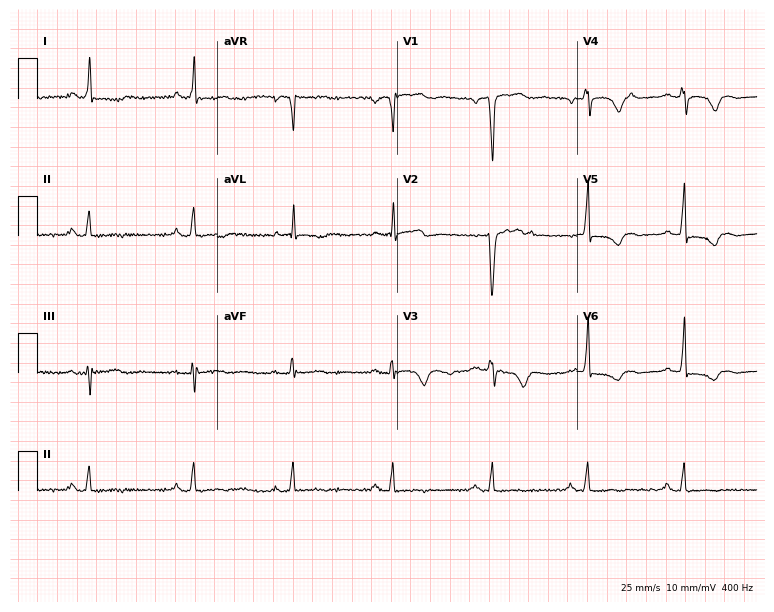
ECG — a 63-year-old female. Screened for six findings — first-degree AV block, right bundle branch block (RBBB), left bundle branch block (LBBB), sinus bradycardia, atrial fibrillation (AF), sinus tachycardia — none is recorded. Findings outside these six are not listed.